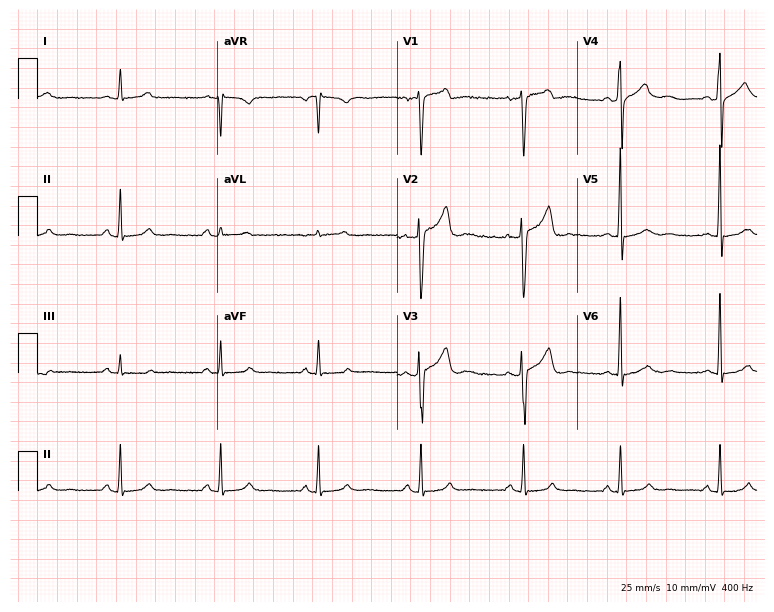
12-lead ECG from a male patient, 53 years old. Screened for six findings — first-degree AV block, right bundle branch block, left bundle branch block, sinus bradycardia, atrial fibrillation, sinus tachycardia — none is recorded.